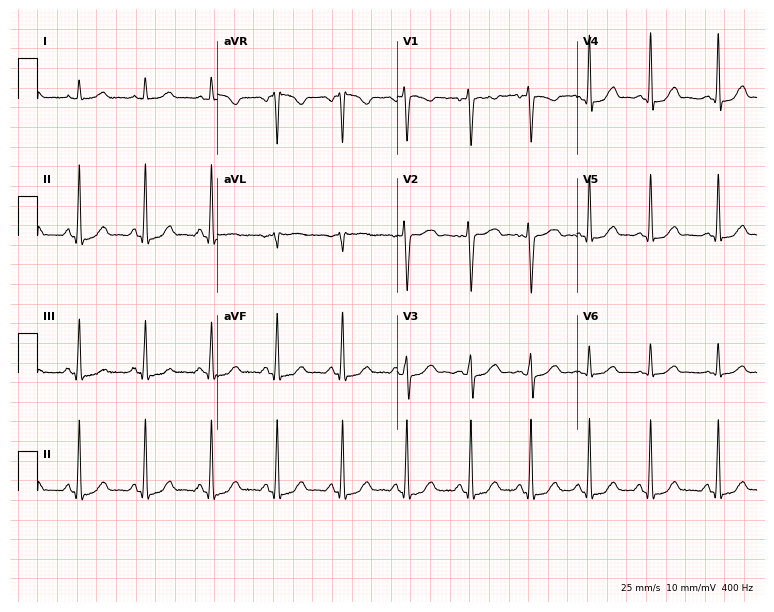
ECG — a 35-year-old female. Labelled as a normal ECG.